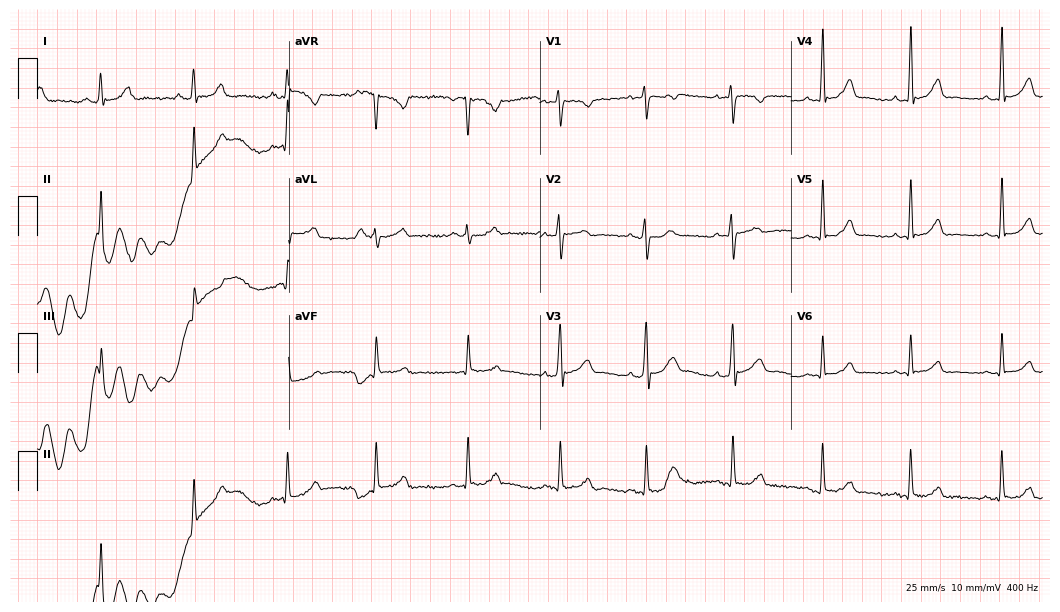
ECG (10.2-second recording at 400 Hz) — a 28-year-old woman. Labelled as a normal ECG.